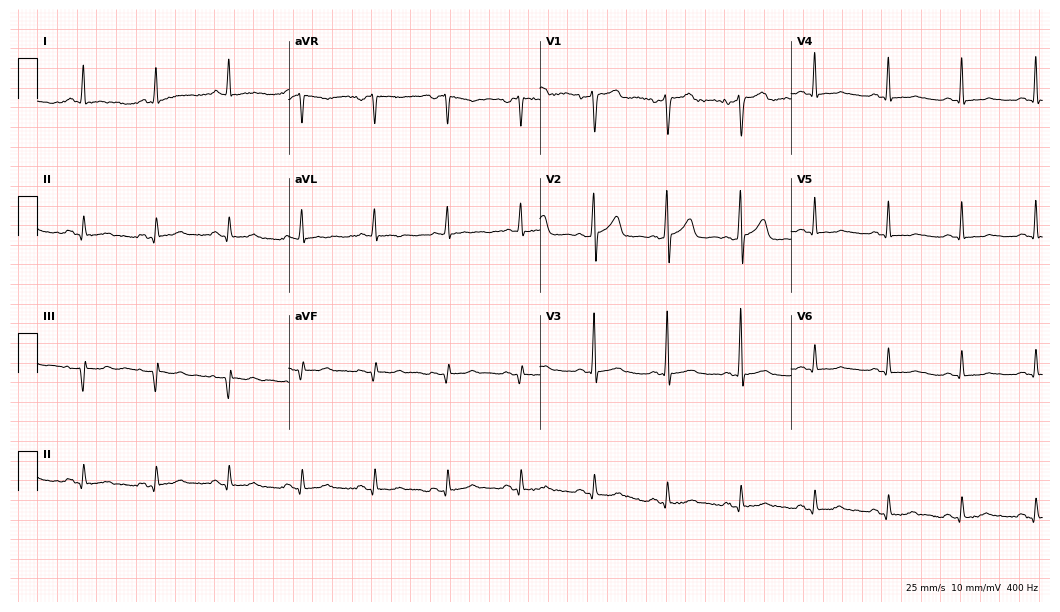
12-lead ECG from a man, 63 years old. No first-degree AV block, right bundle branch block, left bundle branch block, sinus bradycardia, atrial fibrillation or sinus tachycardia recorded for this tracing. Findings outside these six are not listed.